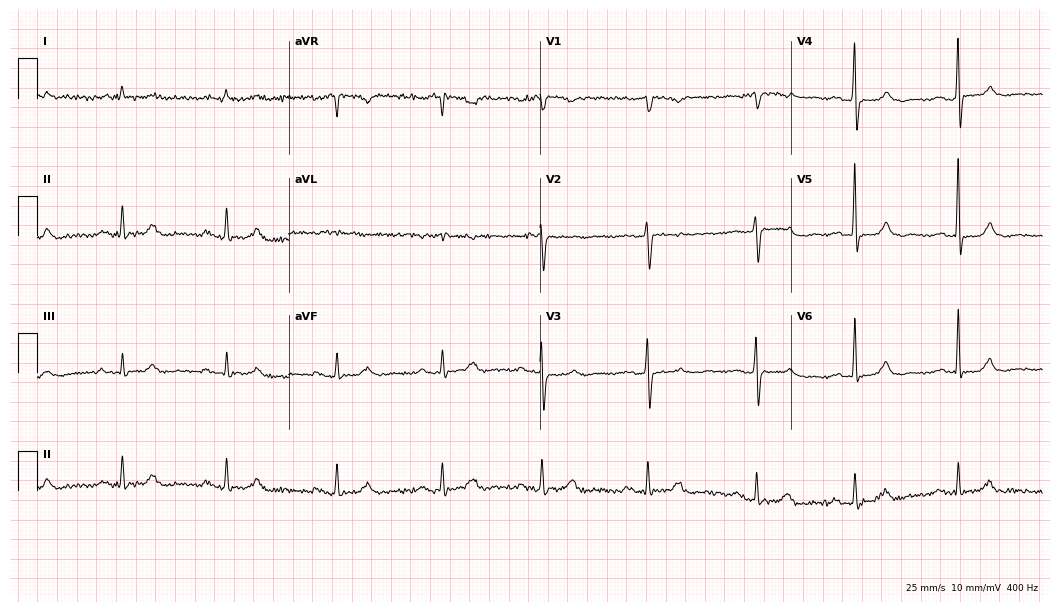
Resting 12-lead electrocardiogram. Patient: an 83-year-old man. None of these six findings is recorded: first-degree AV block, right bundle branch block (RBBB), left bundle branch block (LBBB), sinus bradycardia, atrial fibrillation (AF), sinus tachycardia.